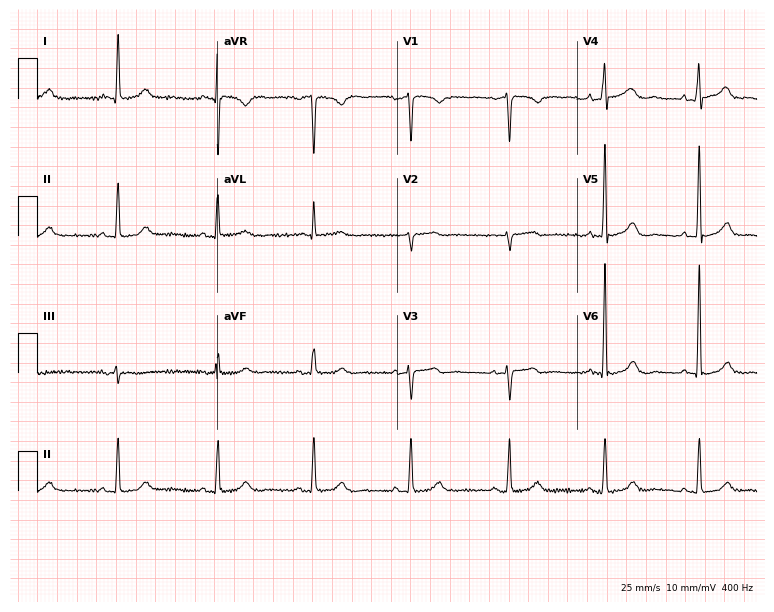
12-lead ECG (7.3-second recording at 400 Hz) from a 65-year-old woman. Labelled as a normal ECG.